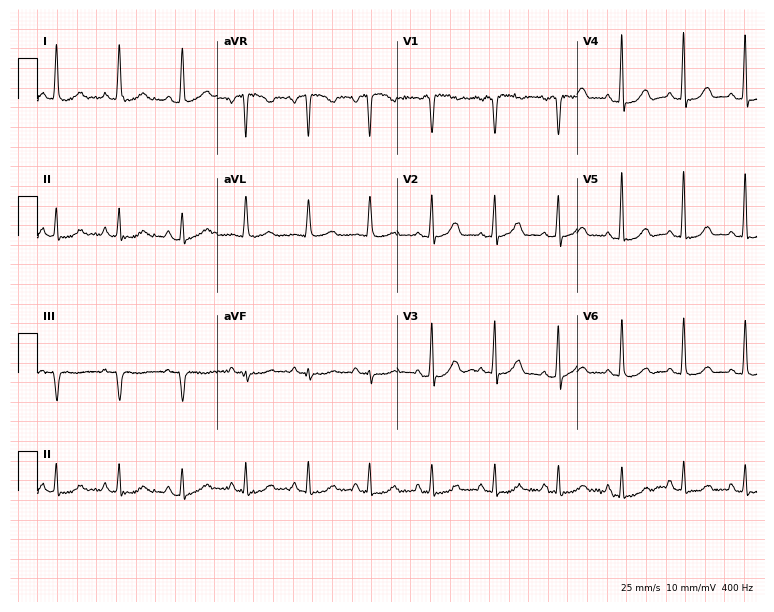
12-lead ECG from a female patient, 61 years old (7.3-second recording at 400 Hz). Recorded interpretation: within normal limits.